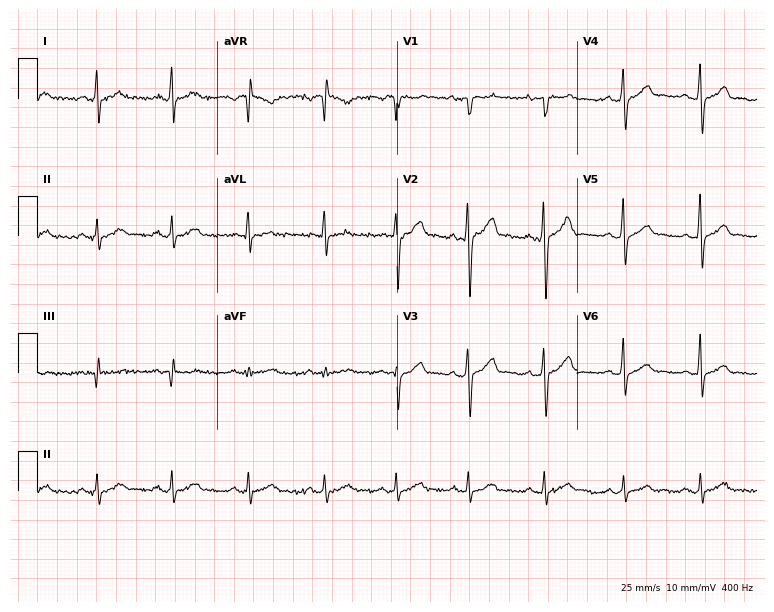
12-lead ECG from a 32-year-old male patient. Labelled as a normal ECG.